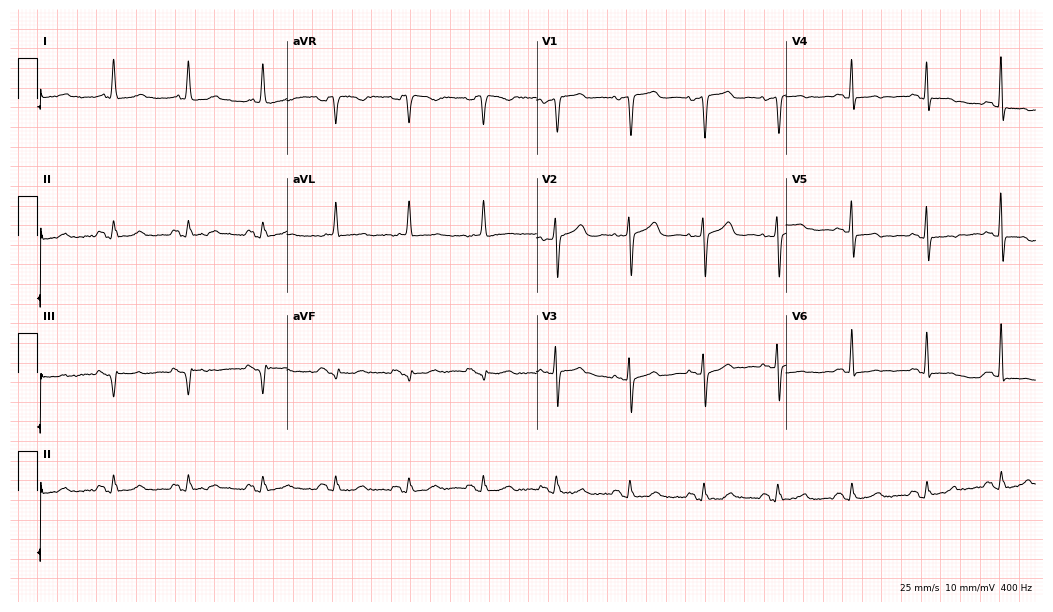
Resting 12-lead electrocardiogram (10.2-second recording at 400 Hz). Patient: an 89-year-old female. Read as a normal ECG.